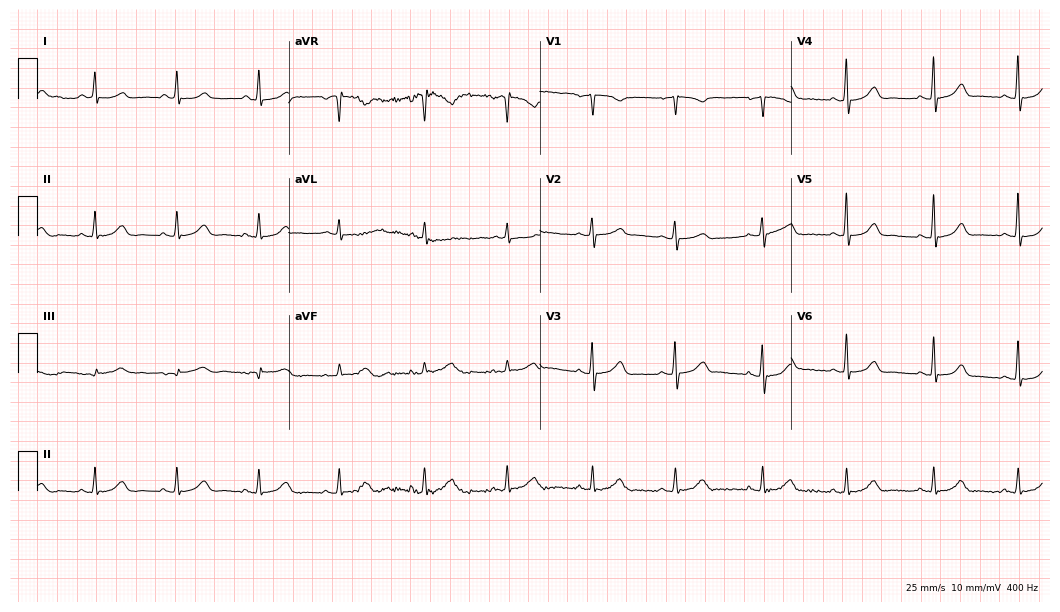
12-lead ECG from a female patient, 55 years old. Recorded interpretation: within normal limits.